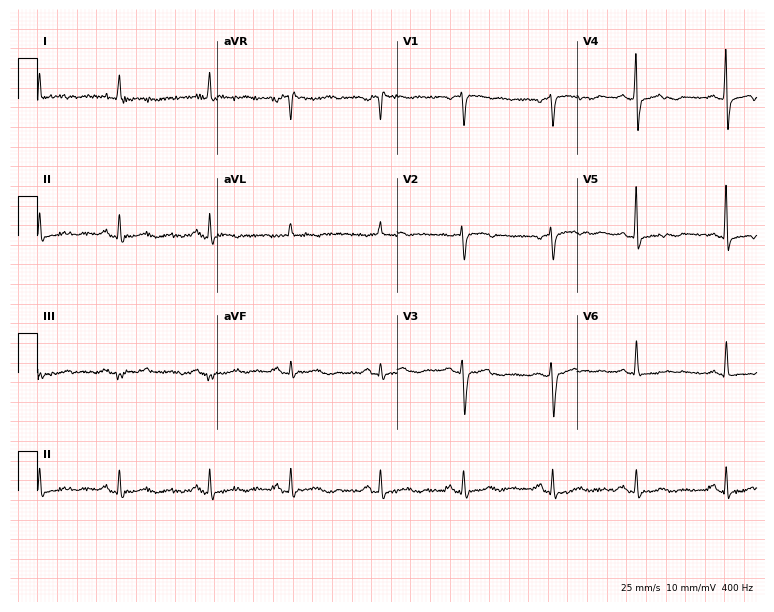
Standard 12-lead ECG recorded from an 80-year-old woman (7.3-second recording at 400 Hz). None of these six findings is recorded: first-degree AV block, right bundle branch block (RBBB), left bundle branch block (LBBB), sinus bradycardia, atrial fibrillation (AF), sinus tachycardia.